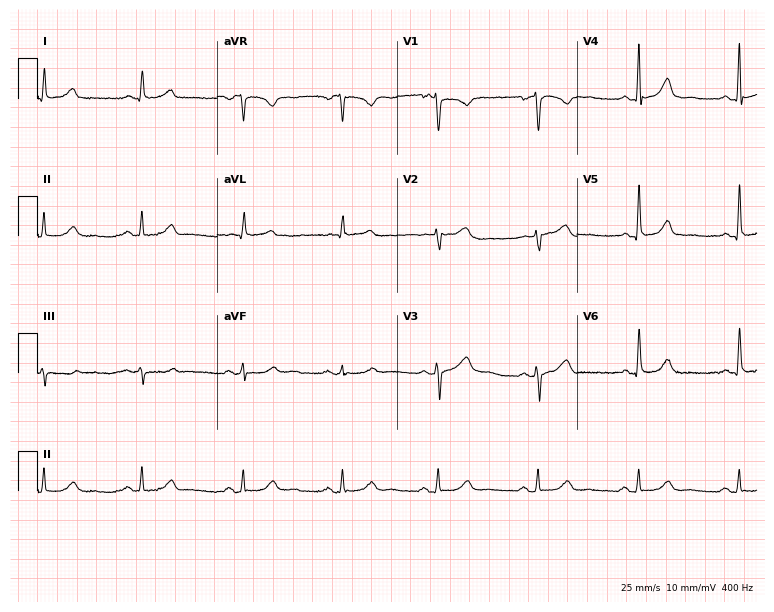
12-lead ECG (7.3-second recording at 400 Hz) from a 50-year-old woman. Labelled as a normal ECG.